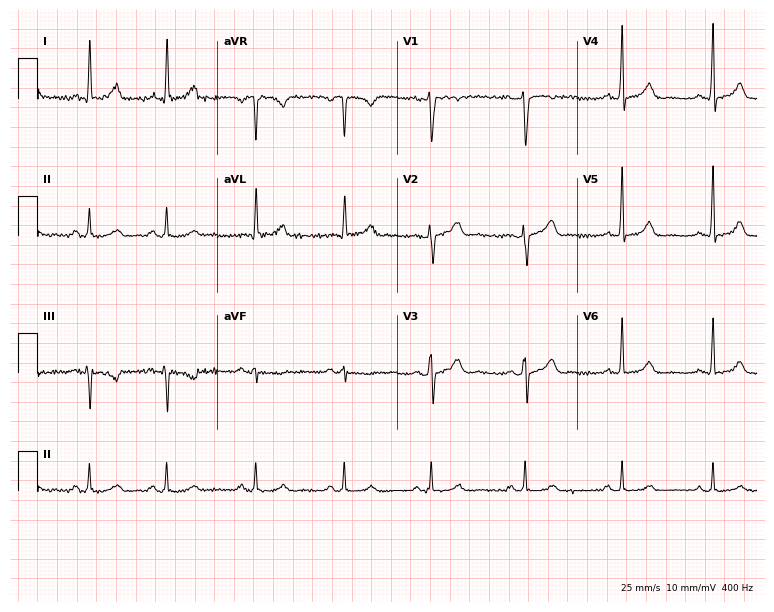
ECG (7.3-second recording at 400 Hz) — a woman, 37 years old. Labelled as a normal ECG.